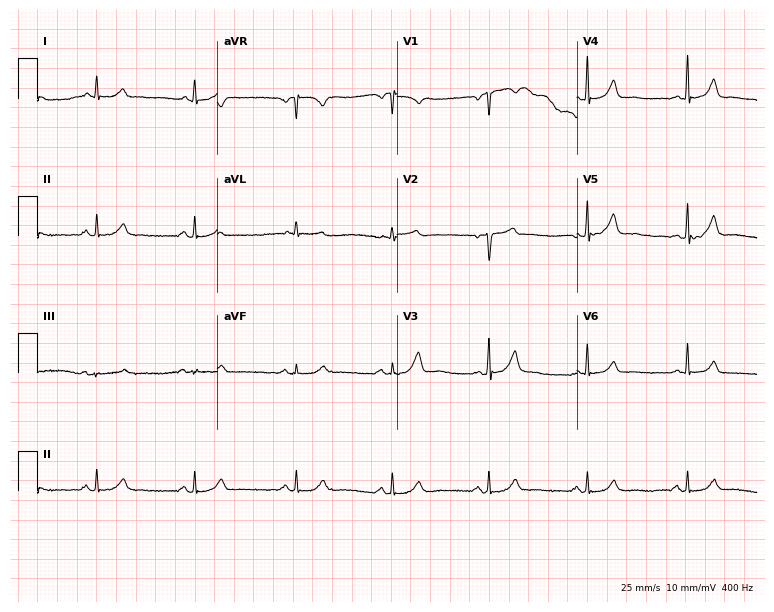
Electrocardiogram (7.3-second recording at 400 Hz), a female patient, 37 years old. Of the six screened findings (first-degree AV block, right bundle branch block (RBBB), left bundle branch block (LBBB), sinus bradycardia, atrial fibrillation (AF), sinus tachycardia), none is recorded. Other findings, if any, are not listed.